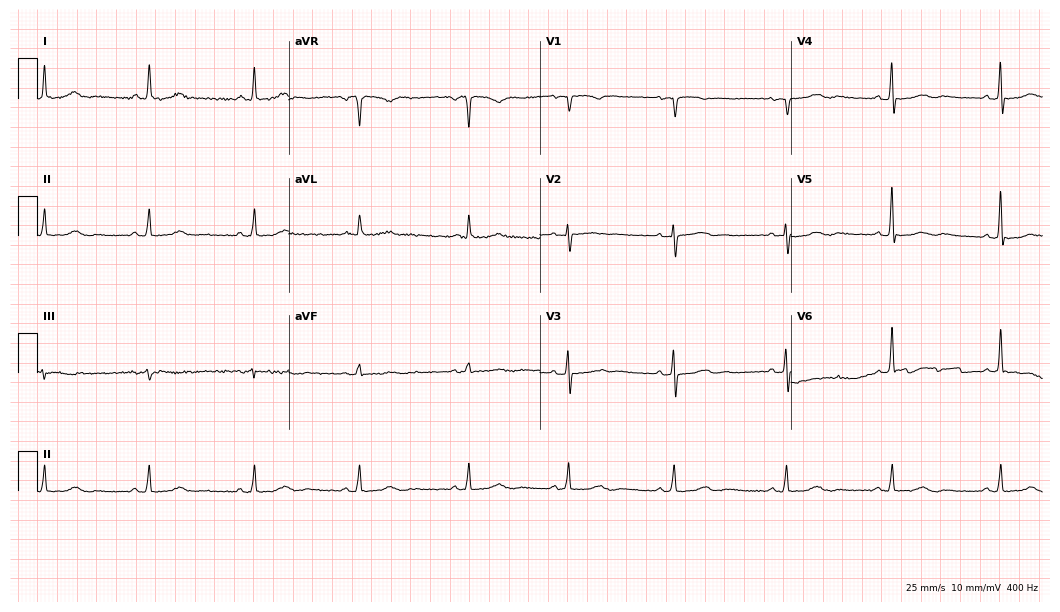
ECG (10.2-second recording at 400 Hz) — a female, 79 years old. Screened for six findings — first-degree AV block, right bundle branch block, left bundle branch block, sinus bradycardia, atrial fibrillation, sinus tachycardia — none is recorded. Findings outside these six are not listed.